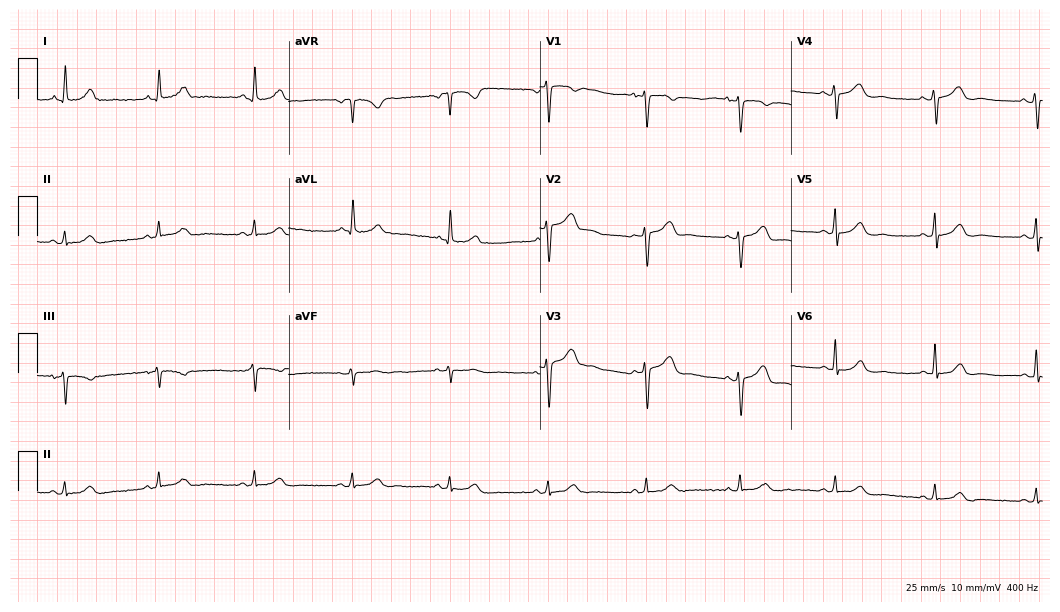
ECG (10.2-second recording at 400 Hz) — a 47-year-old female. Labelled as a normal ECG.